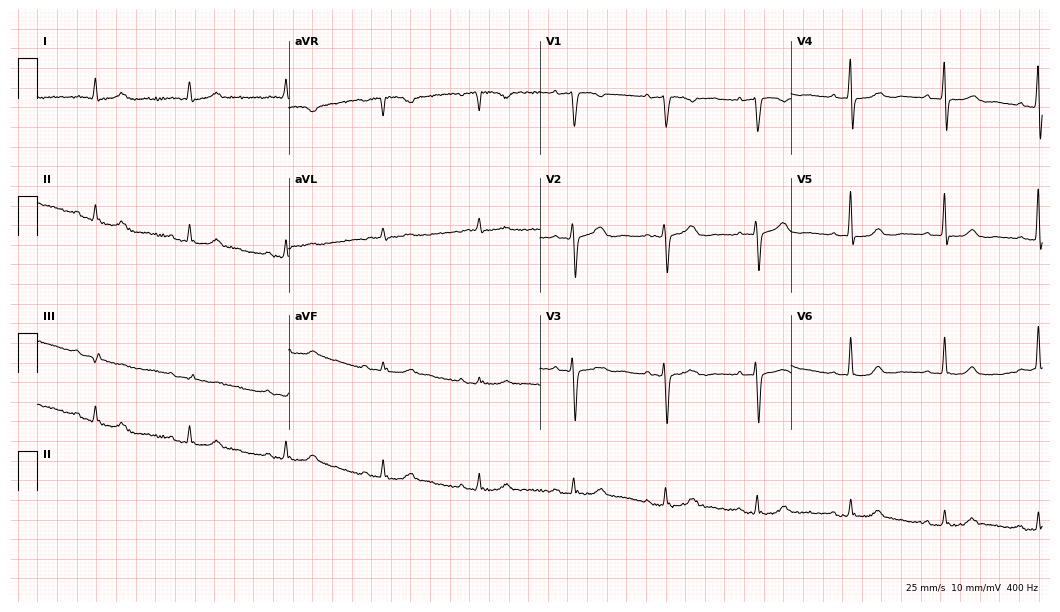
Resting 12-lead electrocardiogram. Patient: a female, 83 years old. Read as a normal ECG.